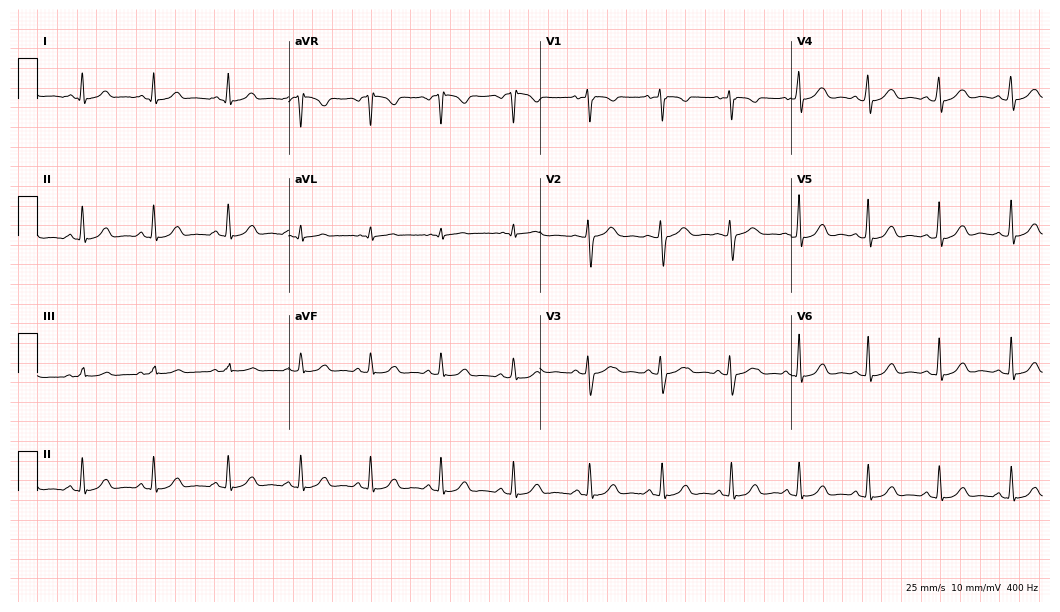
12-lead ECG (10.2-second recording at 400 Hz) from a 20-year-old female patient. Labelled as a normal ECG.